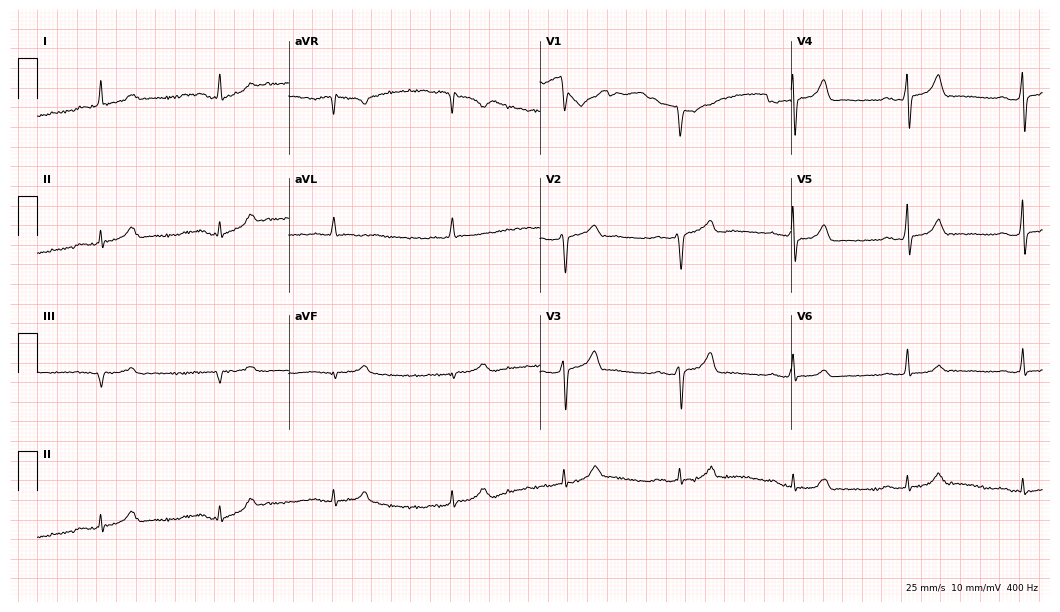
12-lead ECG from a 51-year-old male patient (10.2-second recording at 400 Hz). No first-degree AV block, right bundle branch block, left bundle branch block, sinus bradycardia, atrial fibrillation or sinus tachycardia recorded for this tracing.